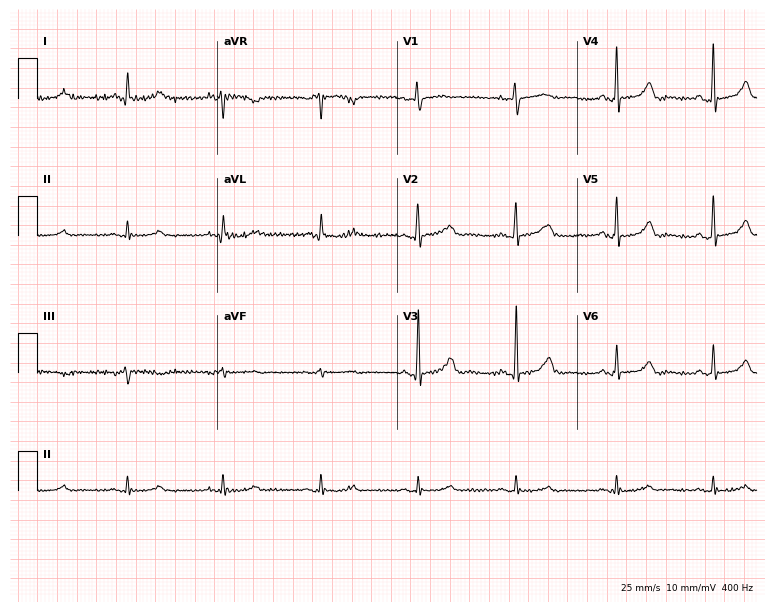
12-lead ECG from a woman, 65 years old (7.3-second recording at 400 Hz). No first-degree AV block, right bundle branch block (RBBB), left bundle branch block (LBBB), sinus bradycardia, atrial fibrillation (AF) or sinus tachycardia recorded for this tracing. Findings outside these six are not listed.